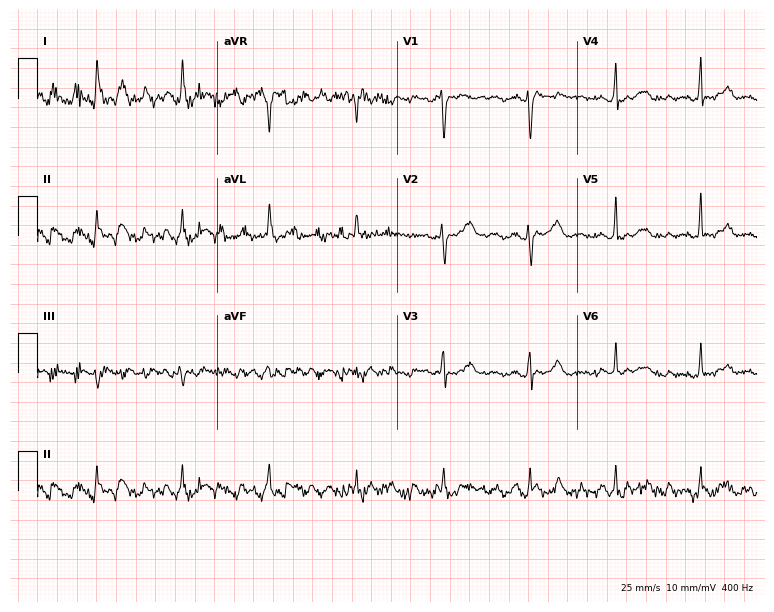
Resting 12-lead electrocardiogram (7.3-second recording at 400 Hz). Patient: a female, 62 years old. None of these six findings is recorded: first-degree AV block, right bundle branch block, left bundle branch block, sinus bradycardia, atrial fibrillation, sinus tachycardia. Findings outside these six are not listed.